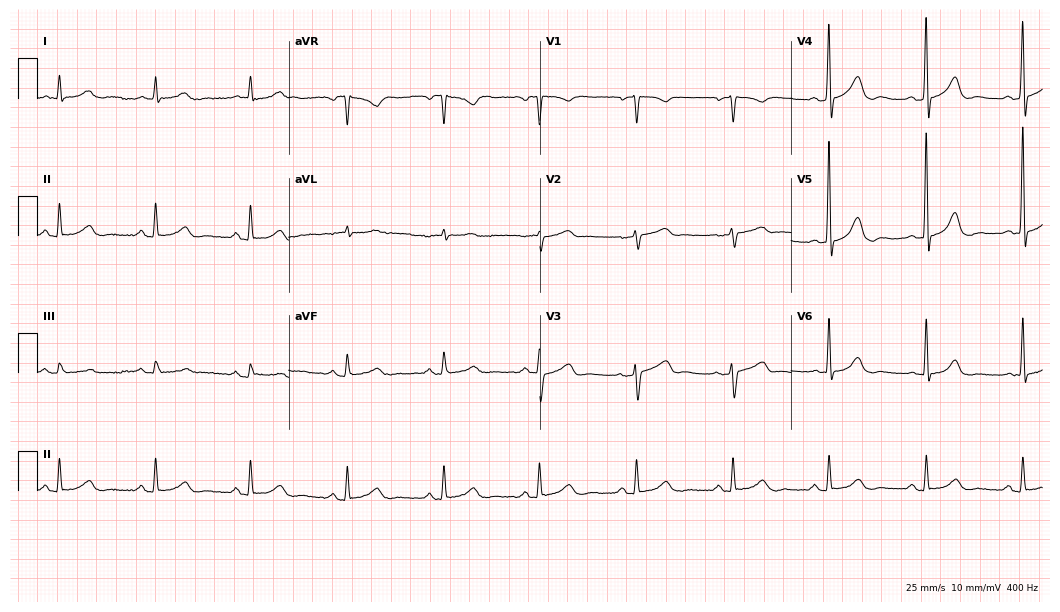
ECG (10.2-second recording at 400 Hz) — a 74-year-old man. Screened for six findings — first-degree AV block, right bundle branch block, left bundle branch block, sinus bradycardia, atrial fibrillation, sinus tachycardia — none is recorded.